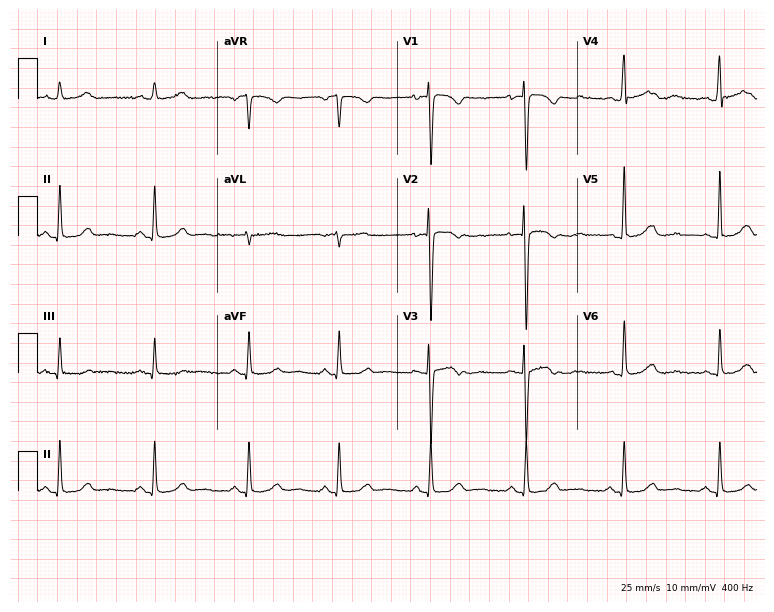
Standard 12-lead ECG recorded from a female patient, 42 years old (7.3-second recording at 400 Hz). Read as a normal ECG.